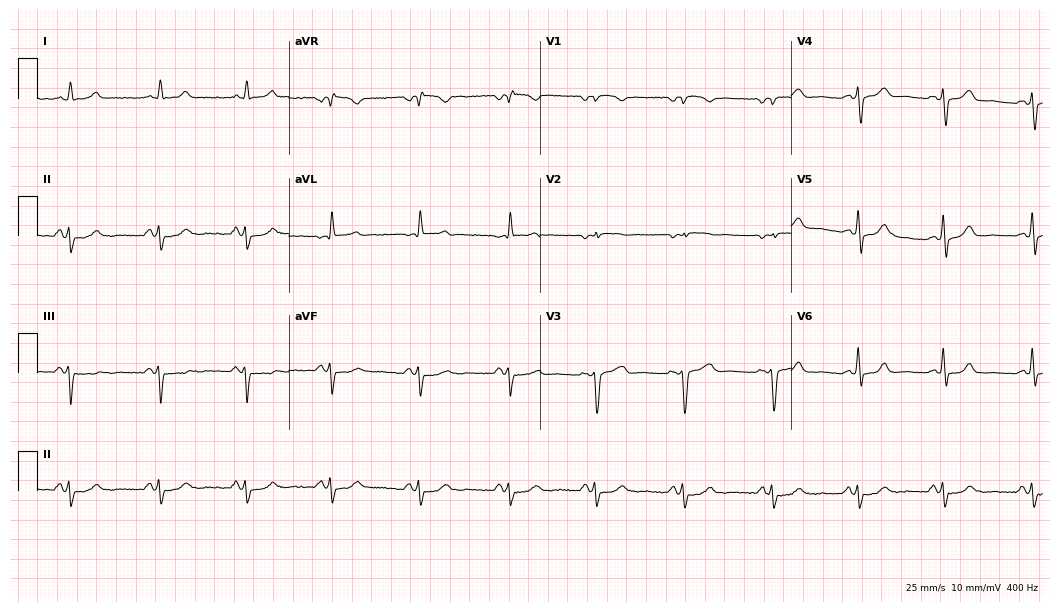
Electrocardiogram (10.2-second recording at 400 Hz), a woman, 42 years old. Of the six screened findings (first-degree AV block, right bundle branch block, left bundle branch block, sinus bradycardia, atrial fibrillation, sinus tachycardia), none is recorded. Other findings, if any, are not listed.